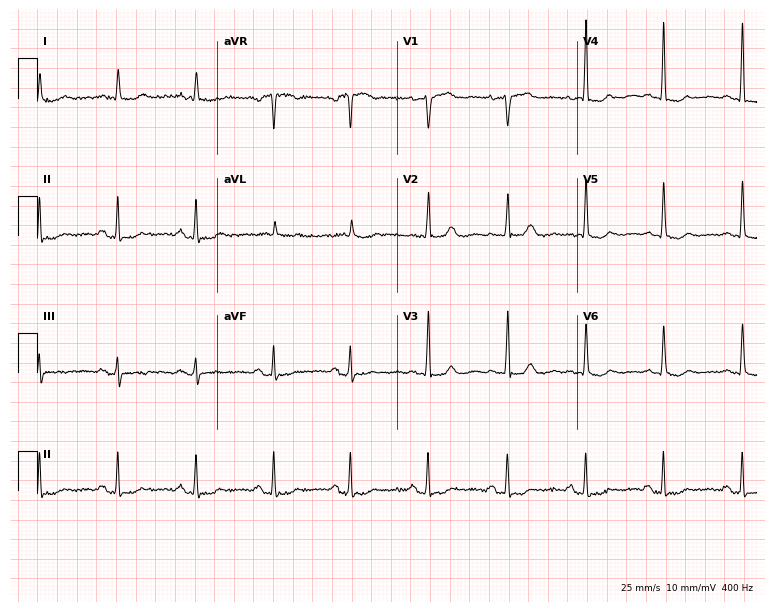
Electrocardiogram (7.3-second recording at 400 Hz), a female patient, 72 years old. Of the six screened findings (first-degree AV block, right bundle branch block (RBBB), left bundle branch block (LBBB), sinus bradycardia, atrial fibrillation (AF), sinus tachycardia), none is recorded.